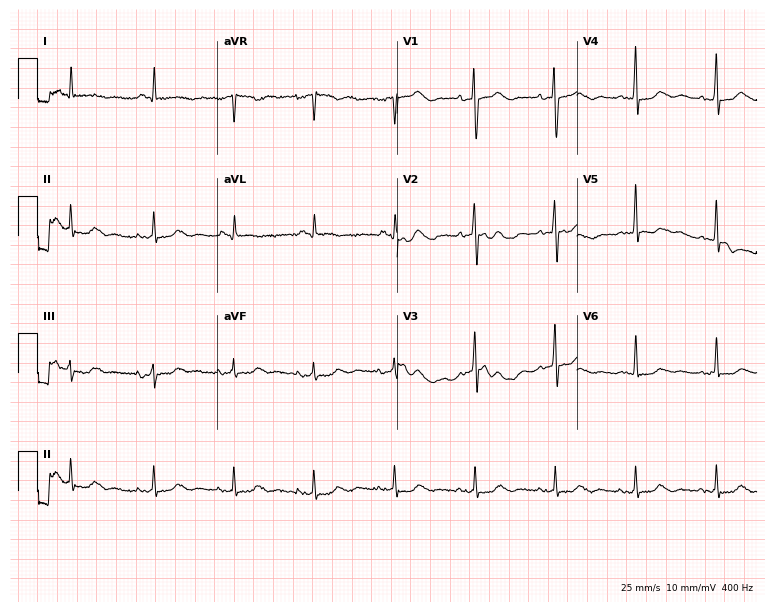
Electrocardiogram (7.3-second recording at 400 Hz), a 64-year-old woman. Of the six screened findings (first-degree AV block, right bundle branch block, left bundle branch block, sinus bradycardia, atrial fibrillation, sinus tachycardia), none is recorded. Only these six findings were labelled.